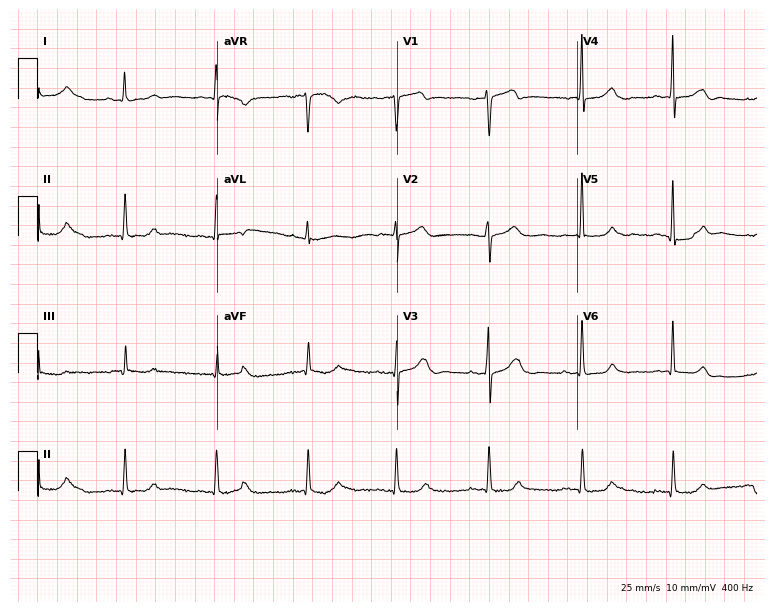
Resting 12-lead electrocardiogram (7.3-second recording at 400 Hz). Patient: a male, 64 years old. None of these six findings is recorded: first-degree AV block, right bundle branch block, left bundle branch block, sinus bradycardia, atrial fibrillation, sinus tachycardia. Findings outside these six are not listed.